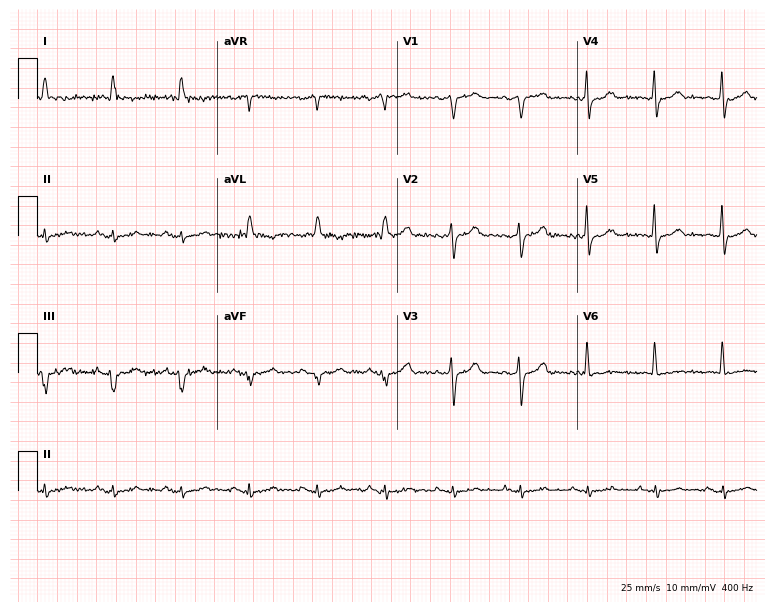
Electrocardiogram, a man, 67 years old. Of the six screened findings (first-degree AV block, right bundle branch block (RBBB), left bundle branch block (LBBB), sinus bradycardia, atrial fibrillation (AF), sinus tachycardia), none is recorded. Only these six findings were labelled.